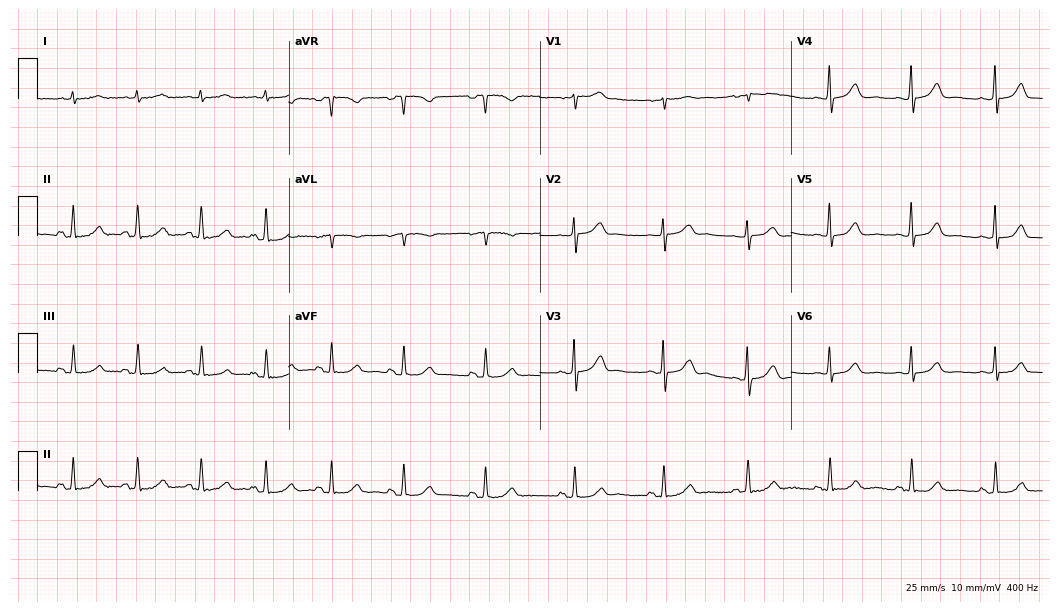
ECG — a woman, 48 years old. Labelled as a normal ECG.